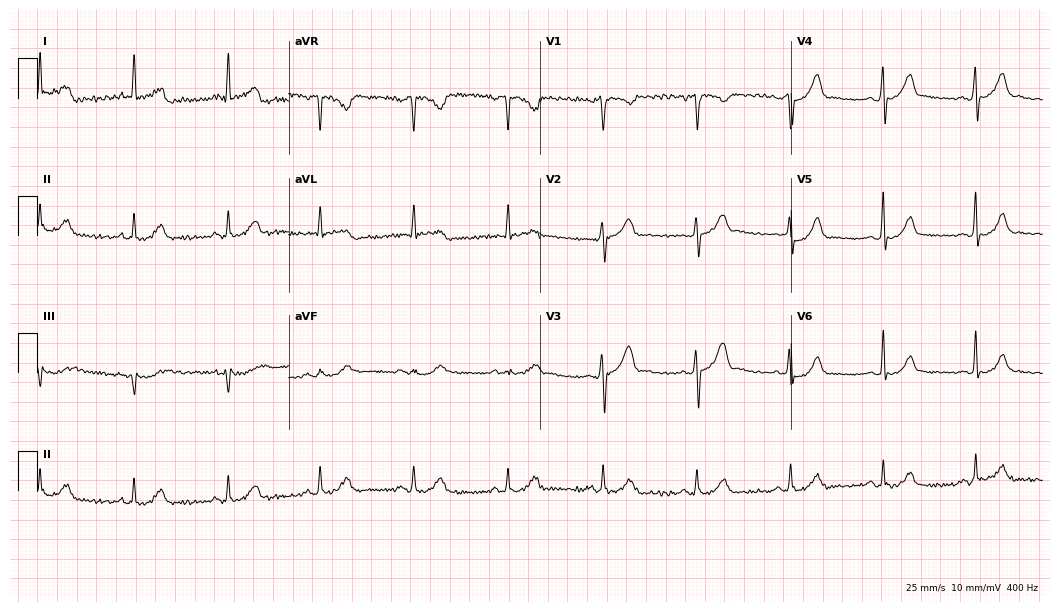
Resting 12-lead electrocardiogram (10.2-second recording at 400 Hz). Patient: a male, 51 years old. Read as a normal ECG.